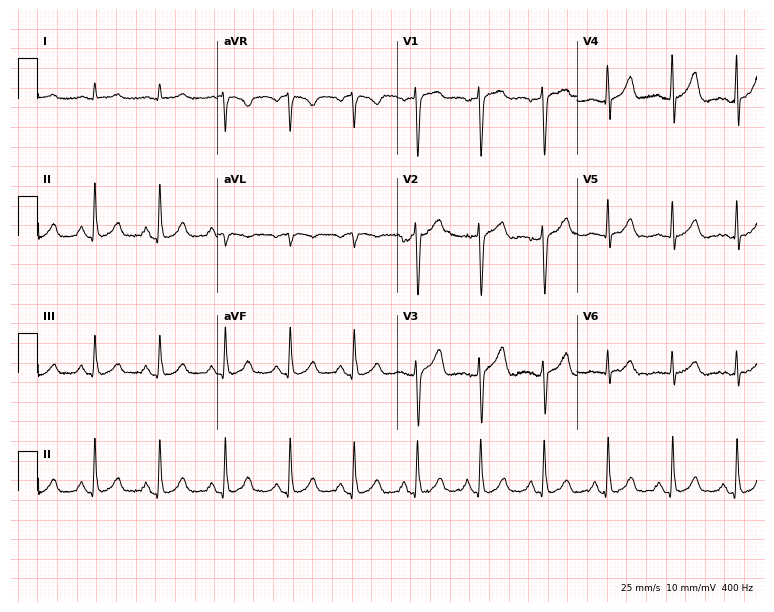
Standard 12-lead ECG recorded from a male, 60 years old. Read as a normal ECG.